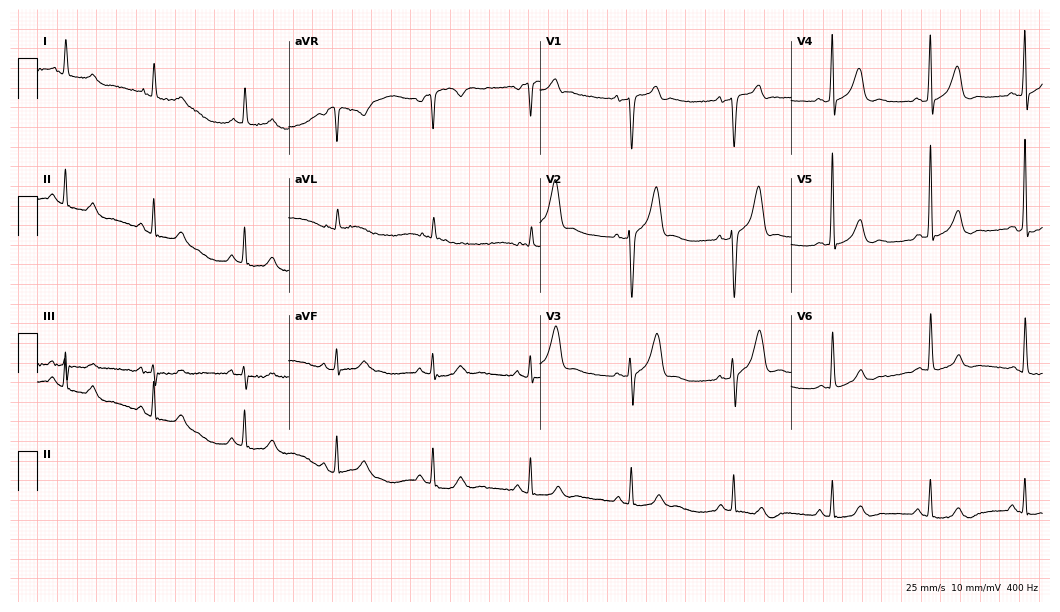
12-lead ECG from a male, 66 years old (10.2-second recording at 400 Hz). No first-degree AV block, right bundle branch block (RBBB), left bundle branch block (LBBB), sinus bradycardia, atrial fibrillation (AF) or sinus tachycardia recorded for this tracing. Only these six findings were labelled.